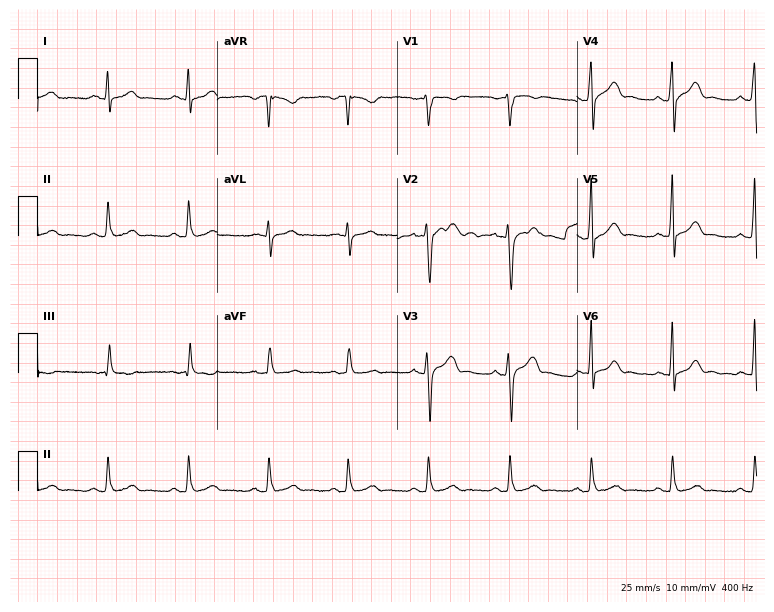
12-lead ECG from a 42-year-old man (7.3-second recording at 400 Hz). Recorded interpretation: within normal limits.